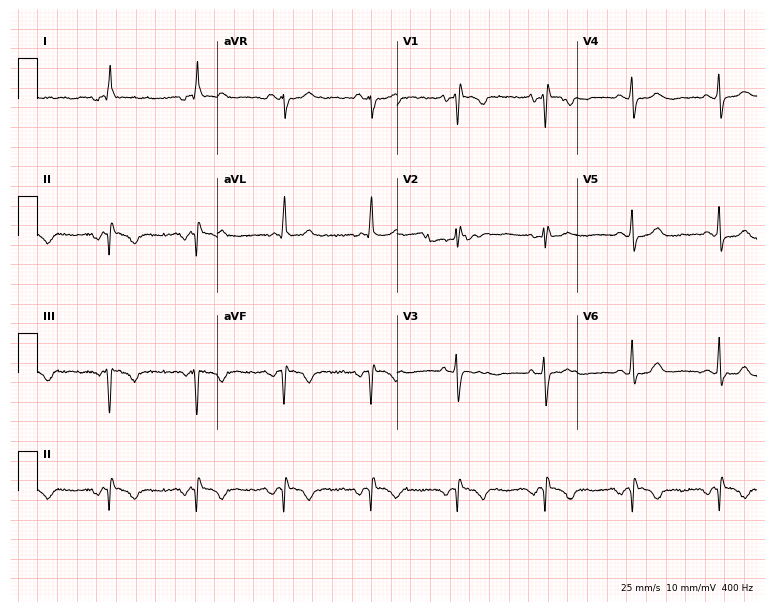
Electrocardiogram (7.3-second recording at 400 Hz), a 62-year-old female. Of the six screened findings (first-degree AV block, right bundle branch block, left bundle branch block, sinus bradycardia, atrial fibrillation, sinus tachycardia), none is recorded. Only these six findings were labelled.